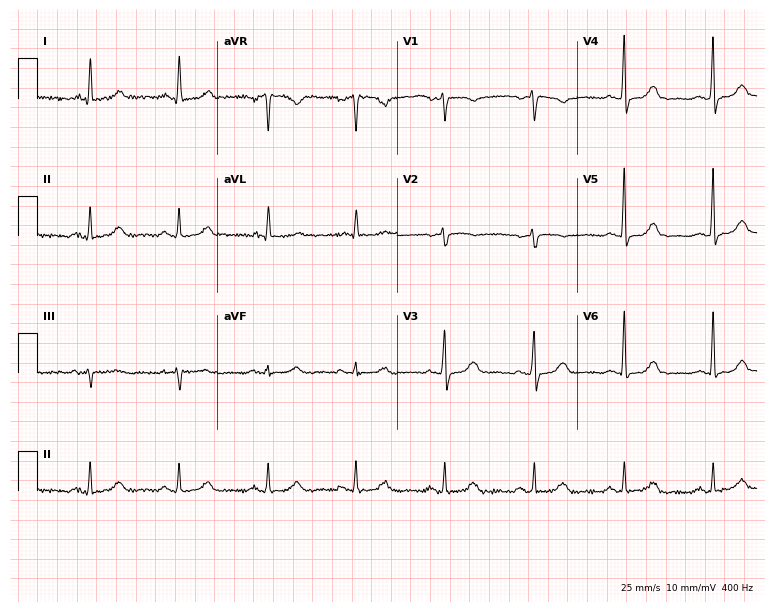
Standard 12-lead ECG recorded from a female, 64 years old. Read as a normal ECG.